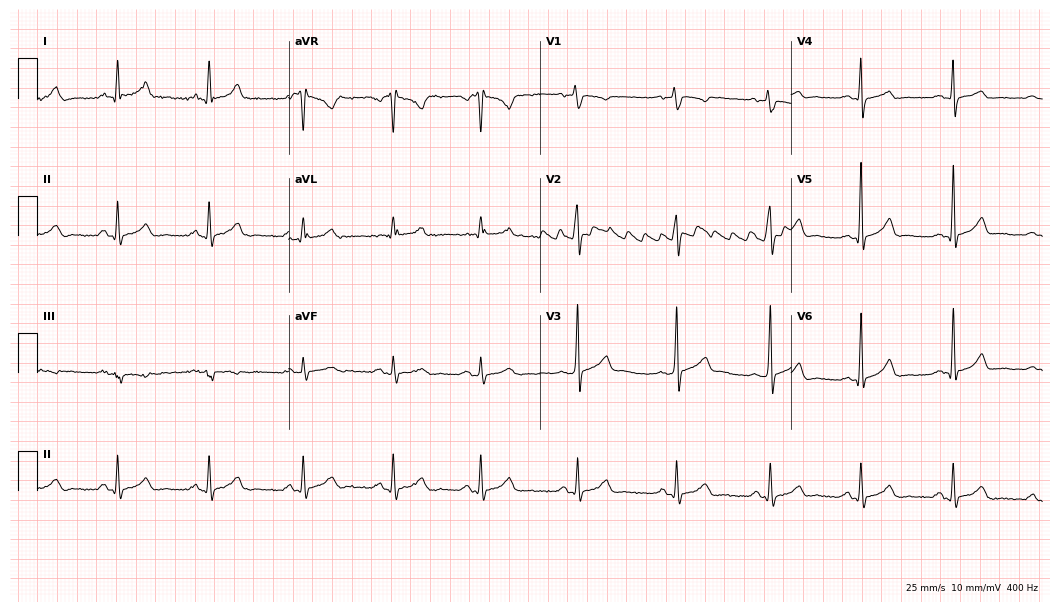
Electrocardiogram, a 32-year-old man. Overall reading on record: normal ECG.